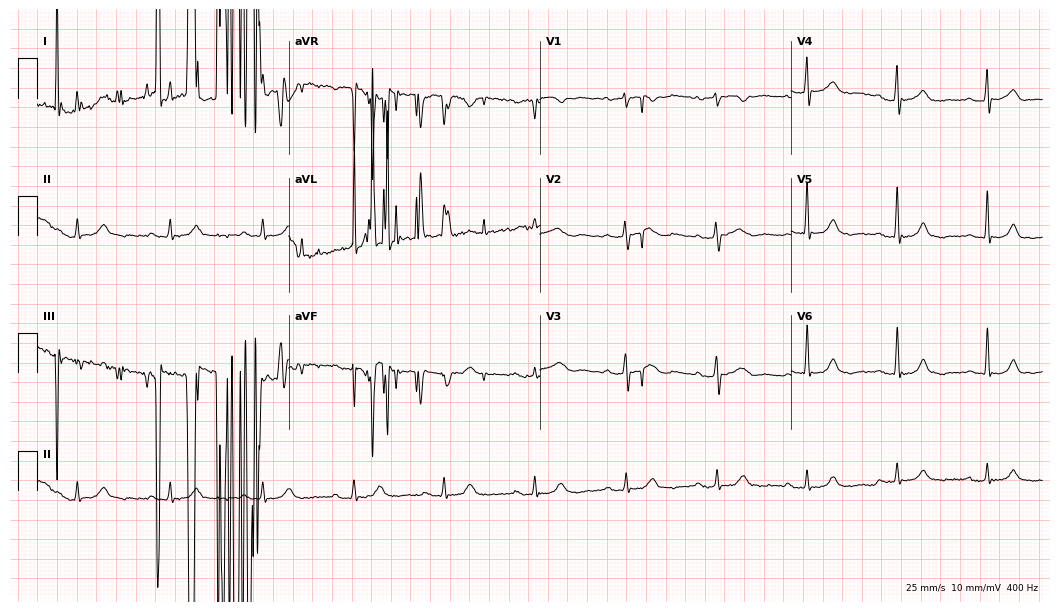
Electrocardiogram, a man, 80 years old. Of the six screened findings (first-degree AV block, right bundle branch block (RBBB), left bundle branch block (LBBB), sinus bradycardia, atrial fibrillation (AF), sinus tachycardia), none is recorded.